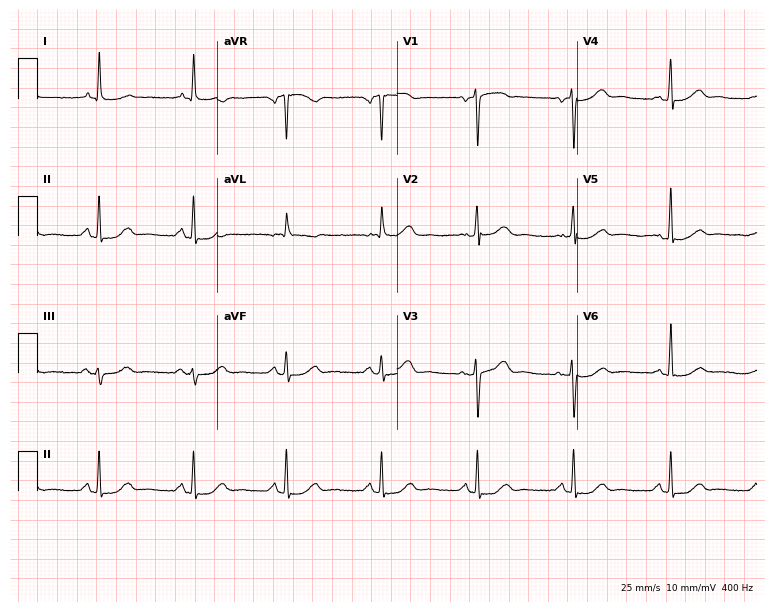
Resting 12-lead electrocardiogram (7.3-second recording at 400 Hz). Patient: a female, 62 years old. None of these six findings is recorded: first-degree AV block, right bundle branch block (RBBB), left bundle branch block (LBBB), sinus bradycardia, atrial fibrillation (AF), sinus tachycardia. Findings outside these six are not listed.